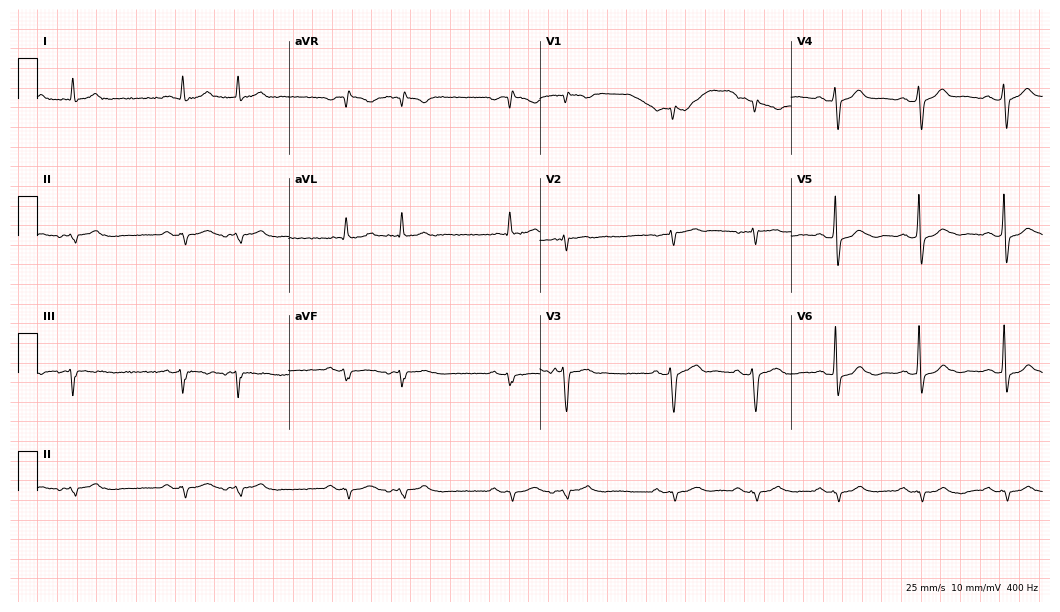
ECG — a male, 67 years old. Screened for six findings — first-degree AV block, right bundle branch block, left bundle branch block, sinus bradycardia, atrial fibrillation, sinus tachycardia — none is recorded. Findings outside these six are not listed.